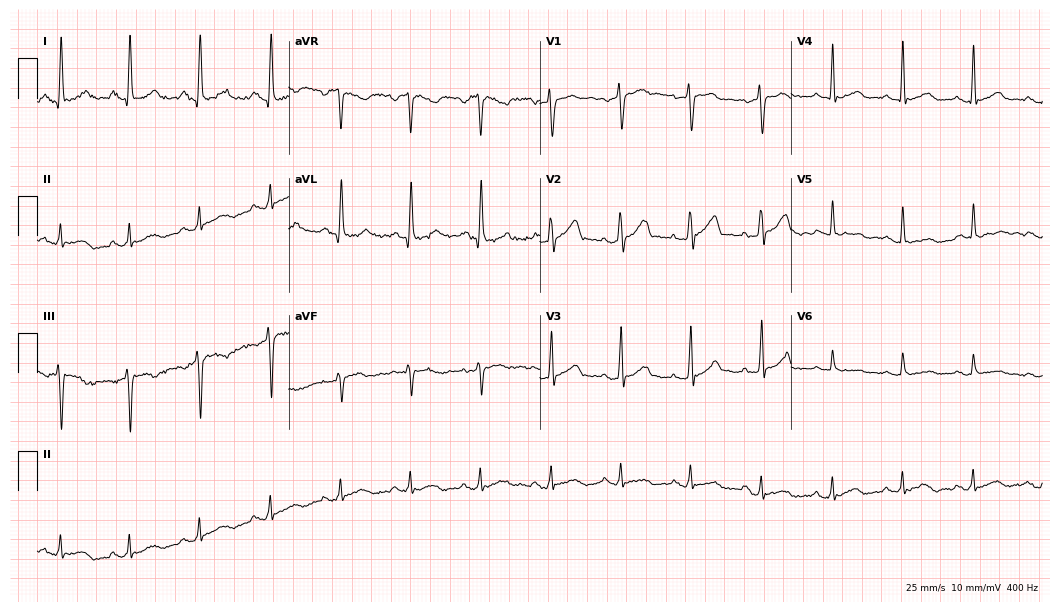
12-lead ECG from a 47-year-old male. Labelled as a normal ECG.